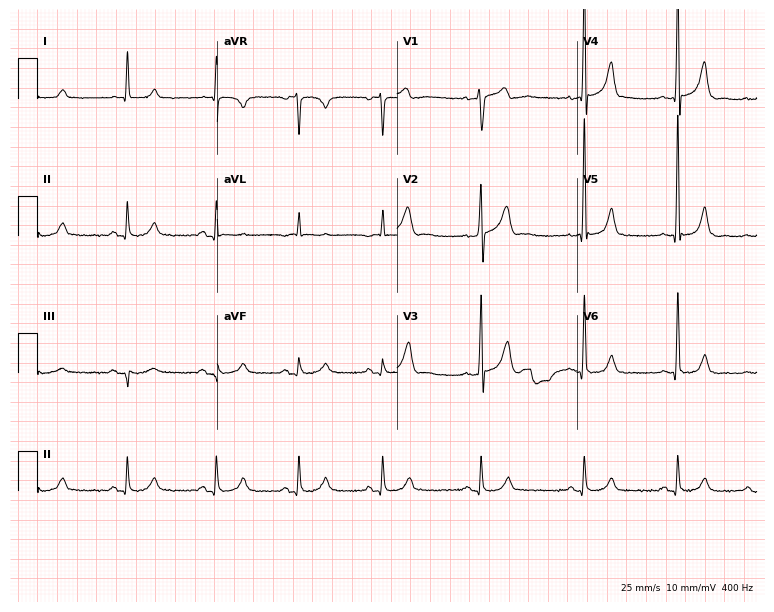
Electrocardiogram, a 57-year-old male. Of the six screened findings (first-degree AV block, right bundle branch block, left bundle branch block, sinus bradycardia, atrial fibrillation, sinus tachycardia), none is recorded. Other findings, if any, are not listed.